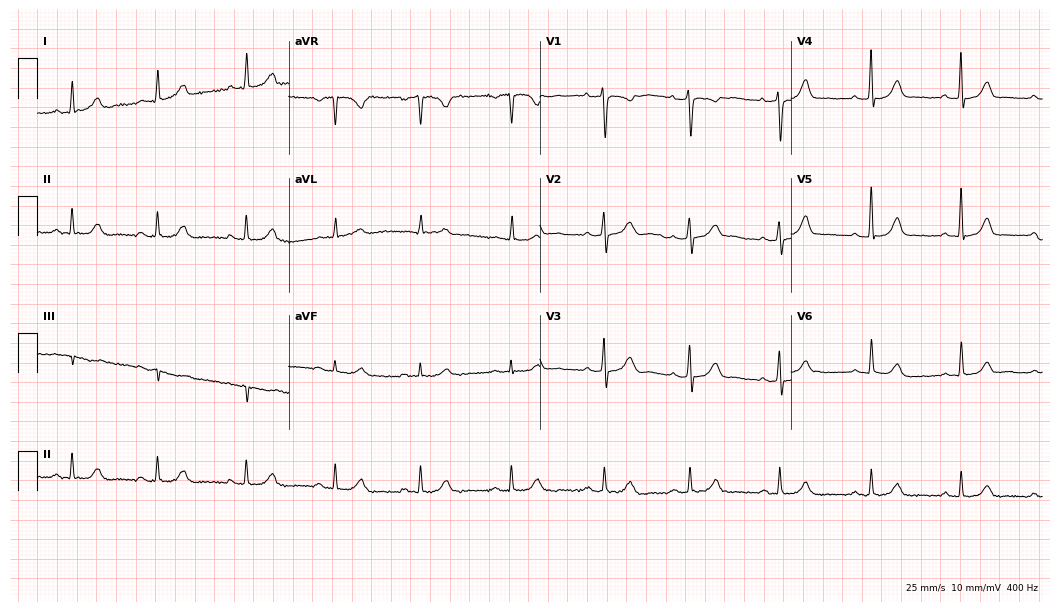
ECG — a 46-year-old woman. Labelled as a normal ECG.